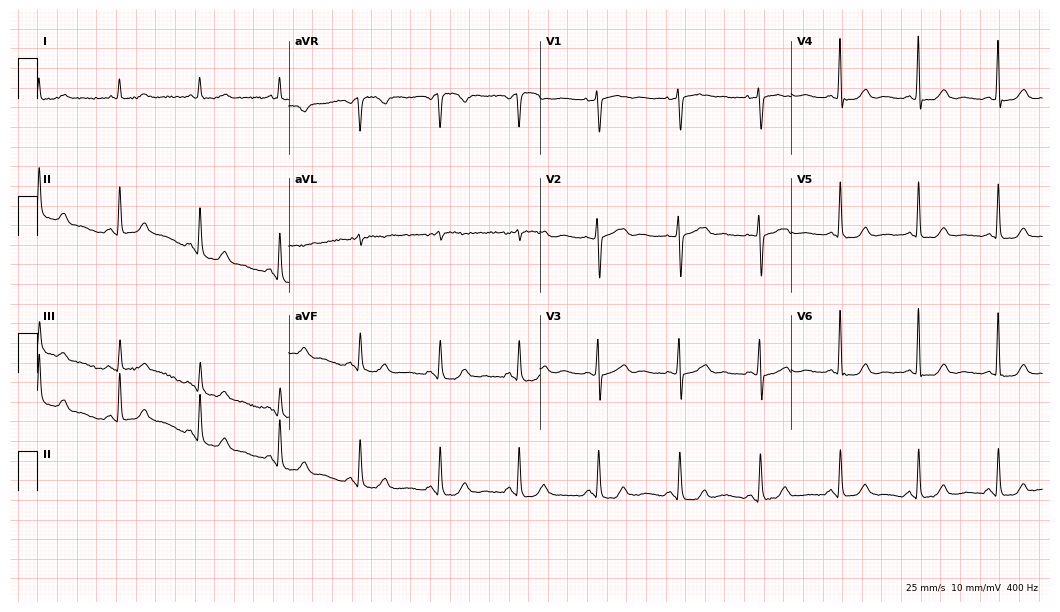
Electrocardiogram, a 59-year-old woman. Overall reading on record: normal ECG.